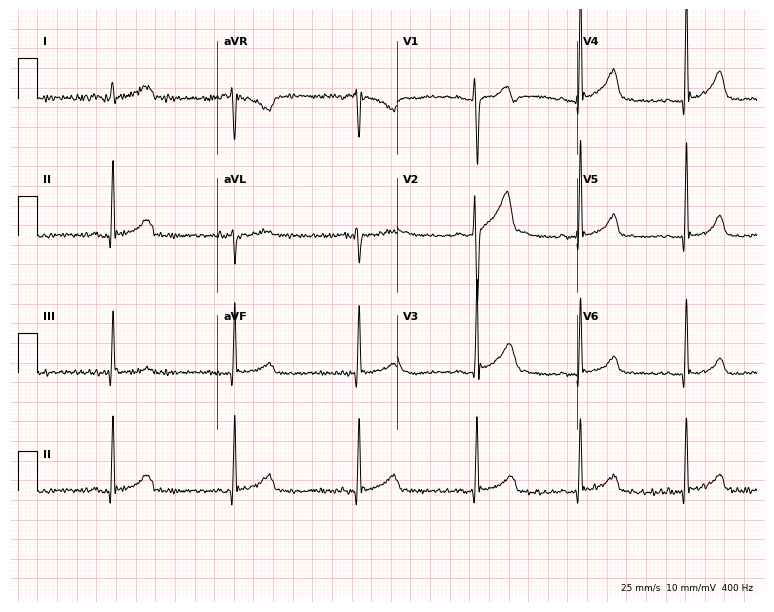
12-lead ECG from a 28-year-old man. Recorded interpretation: within normal limits.